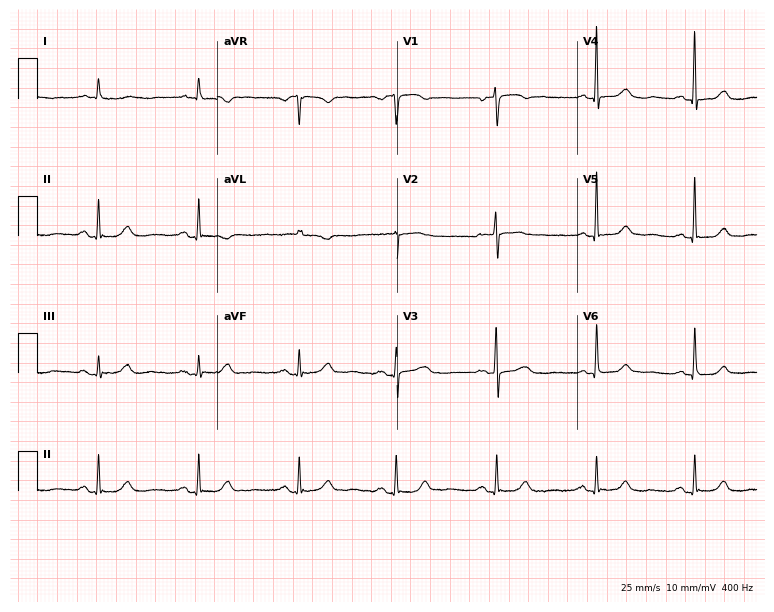
Standard 12-lead ECG recorded from a 73-year-old female patient (7.3-second recording at 400 Hz). None of these six findings is recorded: first-degree AV block, right bundle branch block, left bundle branch block, sinus bradycardia, atrial fibrillation, sinus tachycardia. Other findings, if any, are not listed.